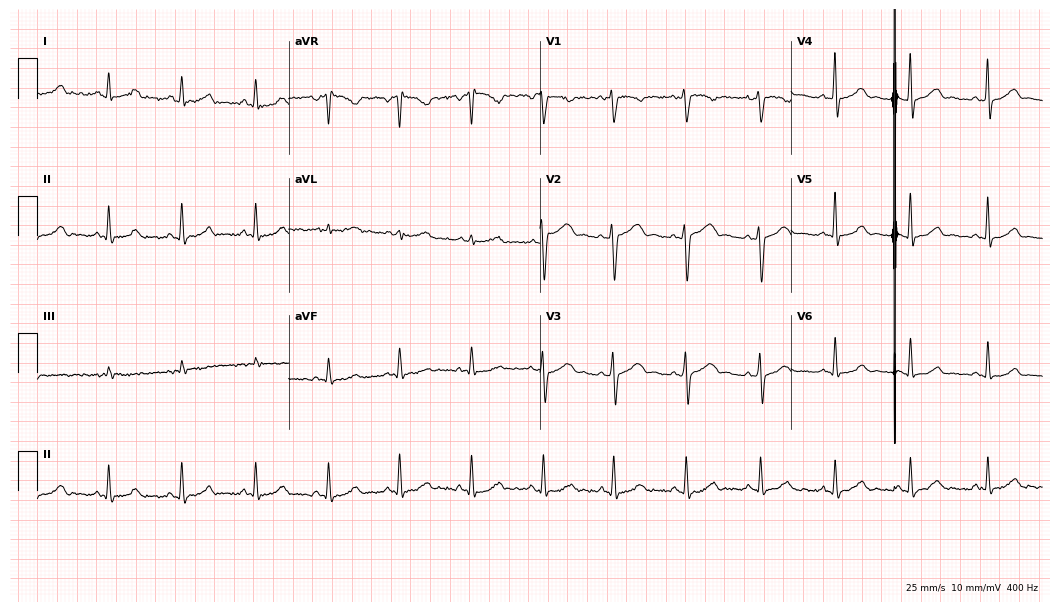
12-lead ECG from a female patient, 34 years old. Labelled as a normal ECG.